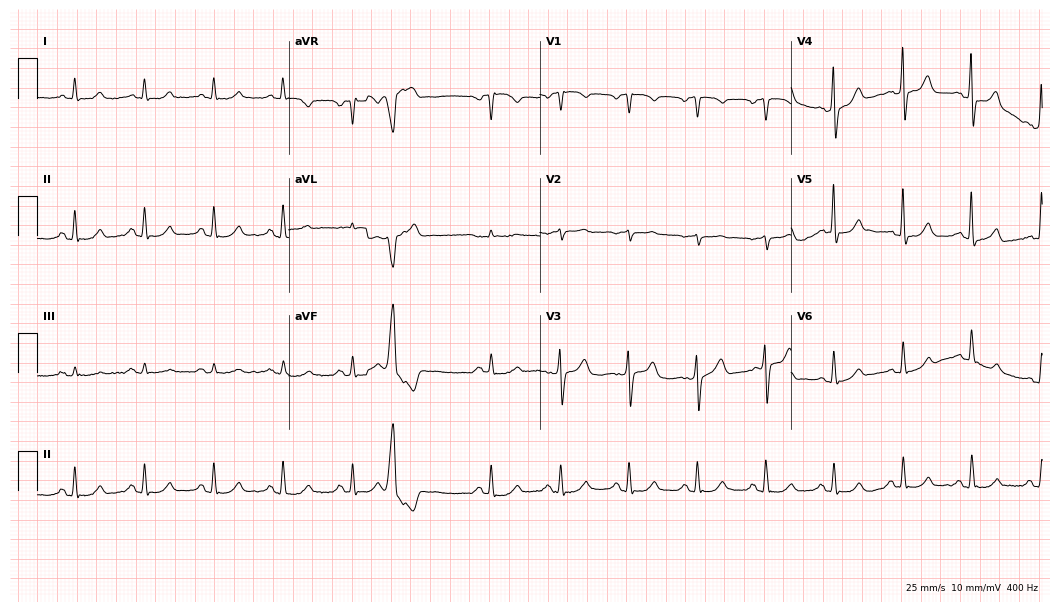
Electrocardiogram (10.2-second recording at 400 Hz), a 71-year-old male patient. Overall reading on record: normal ECG.